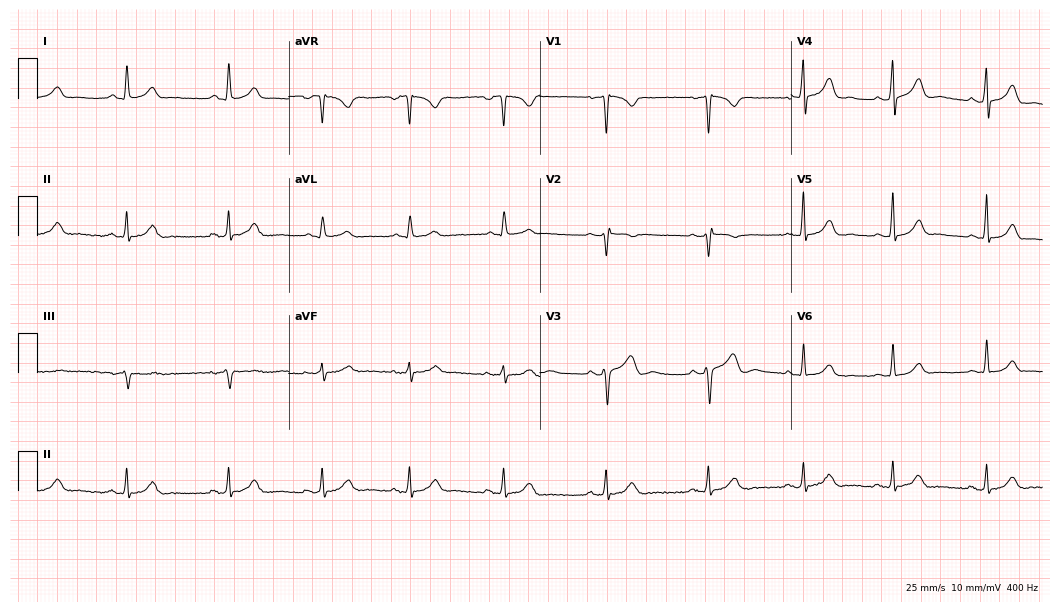
Electrocardiogram, a 39-year-old female patient. Of the six screened findings (first-degree AV block, right bundle branch block, left bundle branch block, sinus bradycardia, atrial fibrillation, sinus tachycardia), none is recorded.